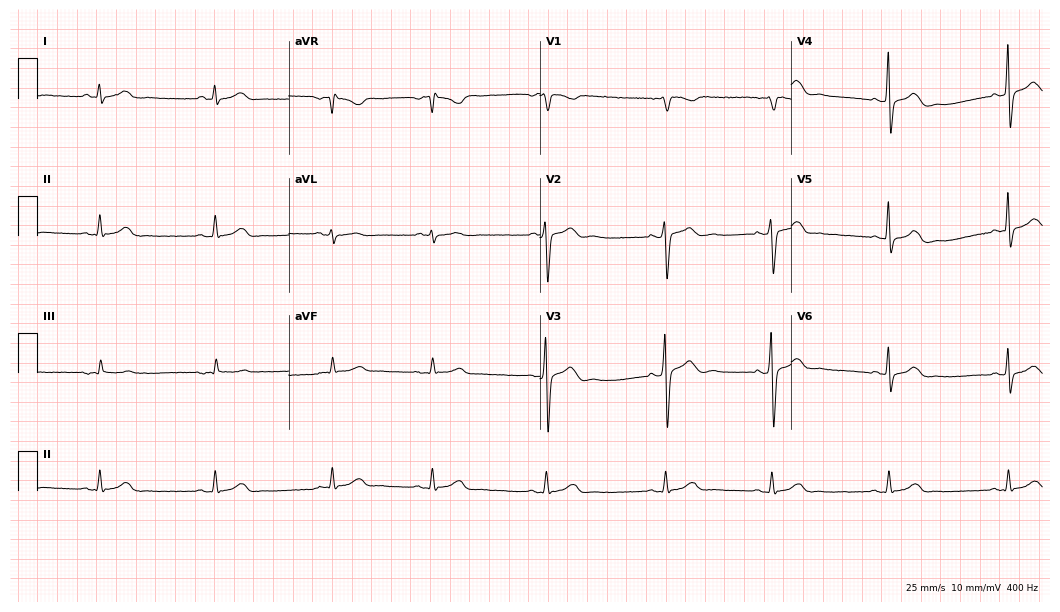
ECG — a 45-year-old male patient. Labelled as a normal ECG.